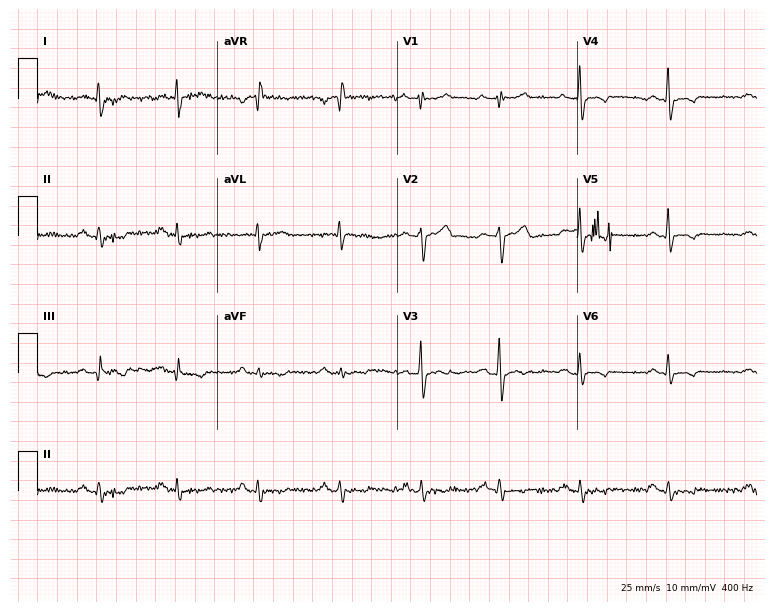
Standard 12-lead ECG recorded from a male, 58 years old (7.3-second recording at 400 Hz). None of these six findings is recorded: first-degree AV block, right bundle branch block, left bundle branch block, sinus bradycardia, atrial fibrillation, sinus tachycardia.